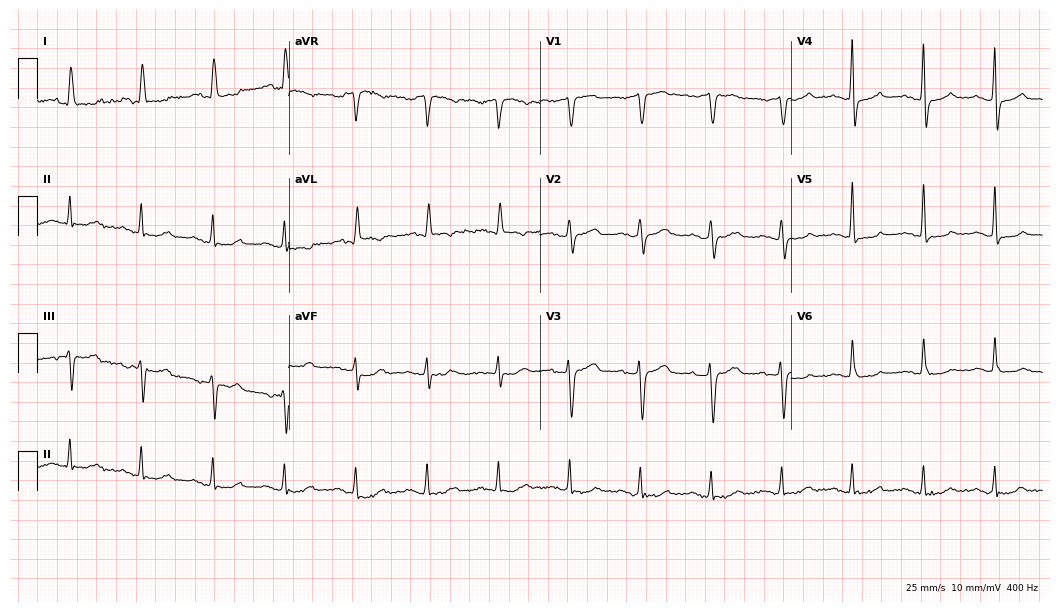
12-lead ECG (10.2-second recording at 400 Hz) from a female, 79 years old. Screened for six findings — first-degree AV block, right bundle branch block (RBBB), left bundle branch block (LBBB), sinus bradycardia, atrial fibrillation (AF), sinus tachycardia — none is recorded. Only these six findings were labelled.